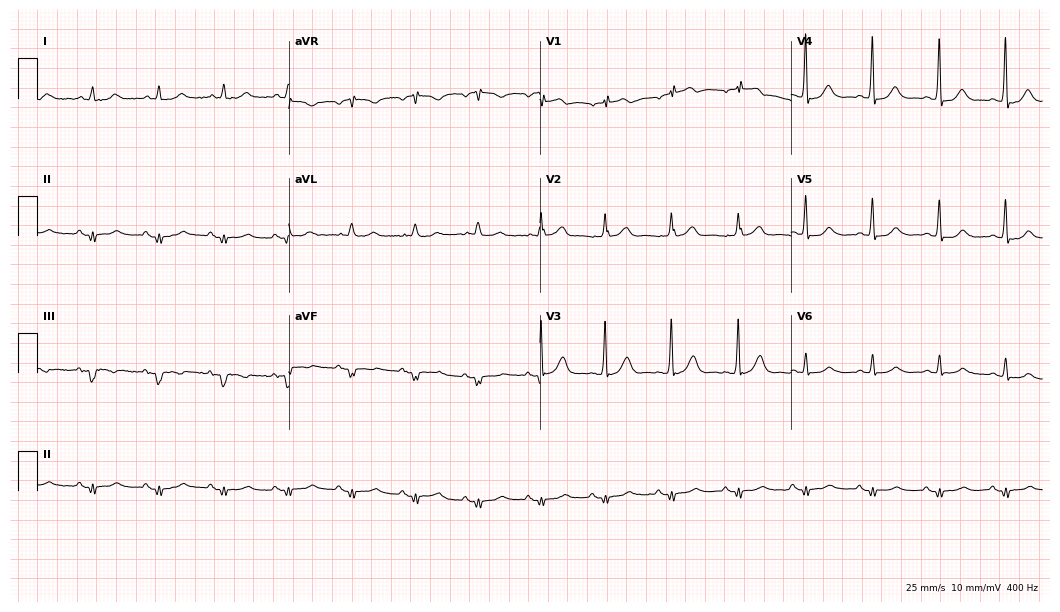
12-lead ECG from a male patient, 68 years old (10.2-second recording at 400 Hz). Recorded interpretation: within normal limits.